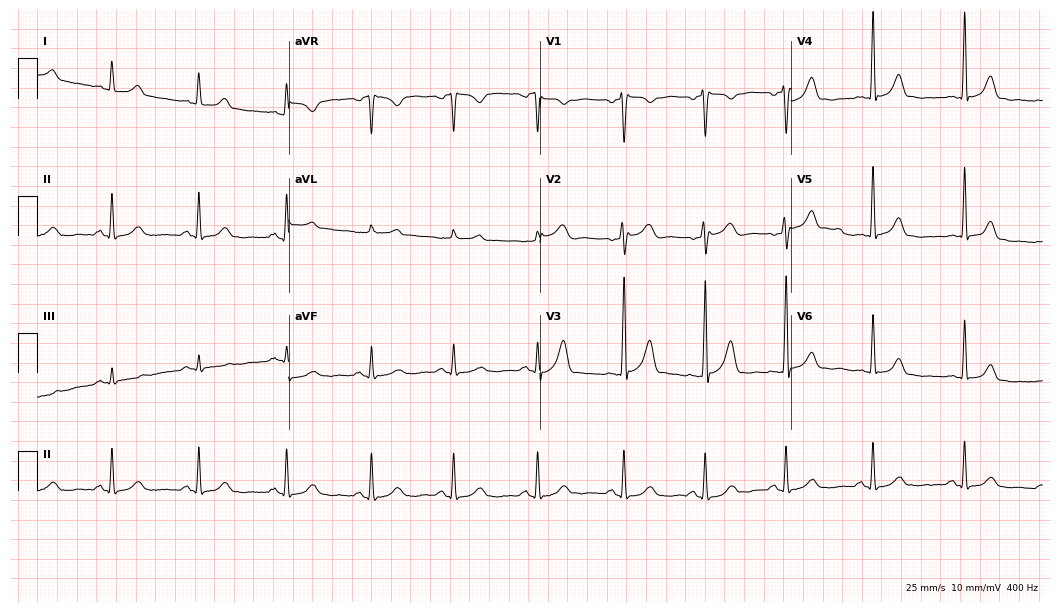
12-lead ECG from a 38-year-old woman. Labelled as a normal ECG.